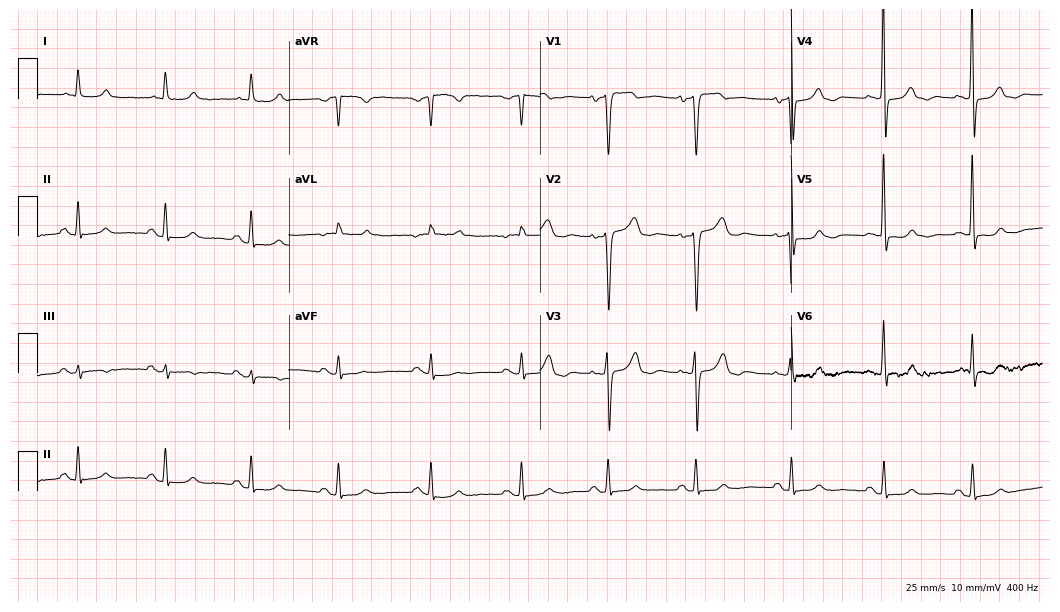
Standard 12-lead ECG recorded from a male patient, 83 years old. None of these six findings is recorded: first-degree AV block, right bundle branch block, left bundle branch block, sinus bradycardia, atrial fibrillation, sinus tachycardia.